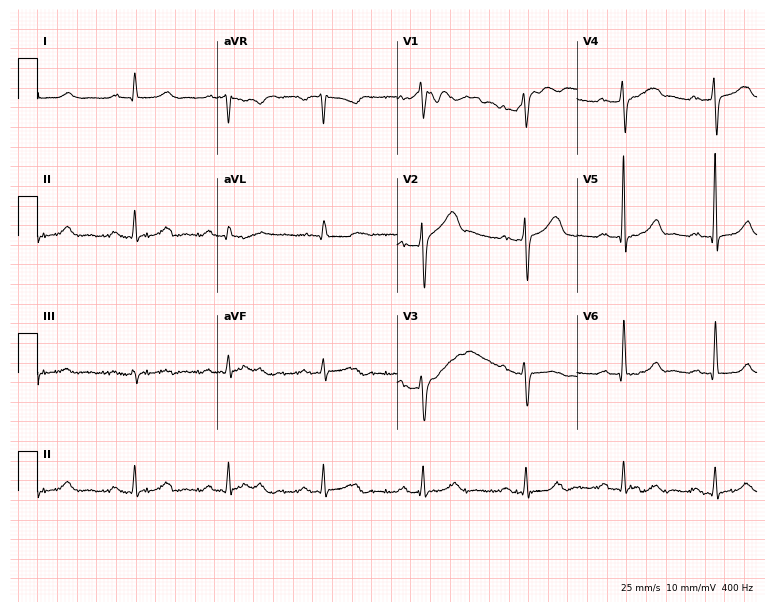
12-lead ECG from a male patient, 53 years old. Findings include first-degree AV block.